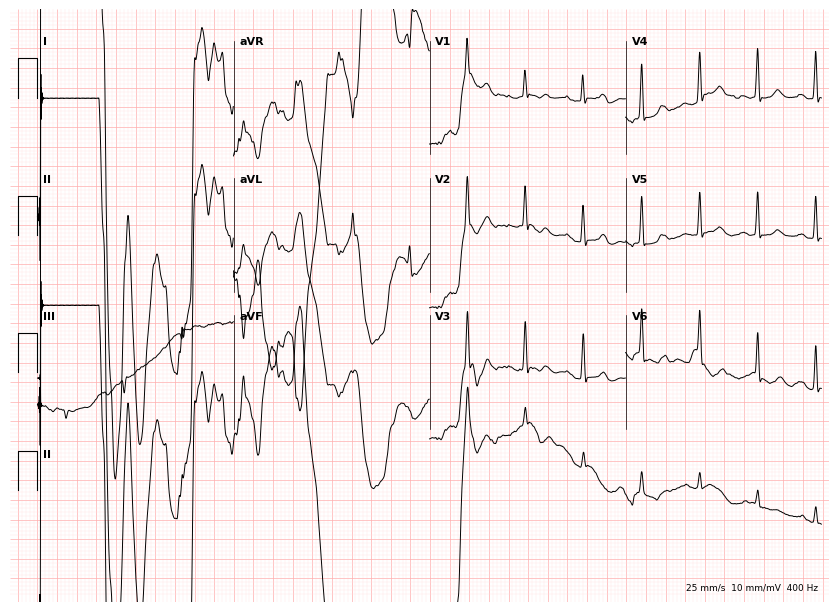
Resting 12-lead electrocardiogram (8-second recording at 400 Hz). Patient: a female, 81 years old. None of these six findings is recorded: first-degree AV block, right bundle branch block, left bundle branch block, sinus bradycardia, atrial fibrillation, sinus tachycardia.